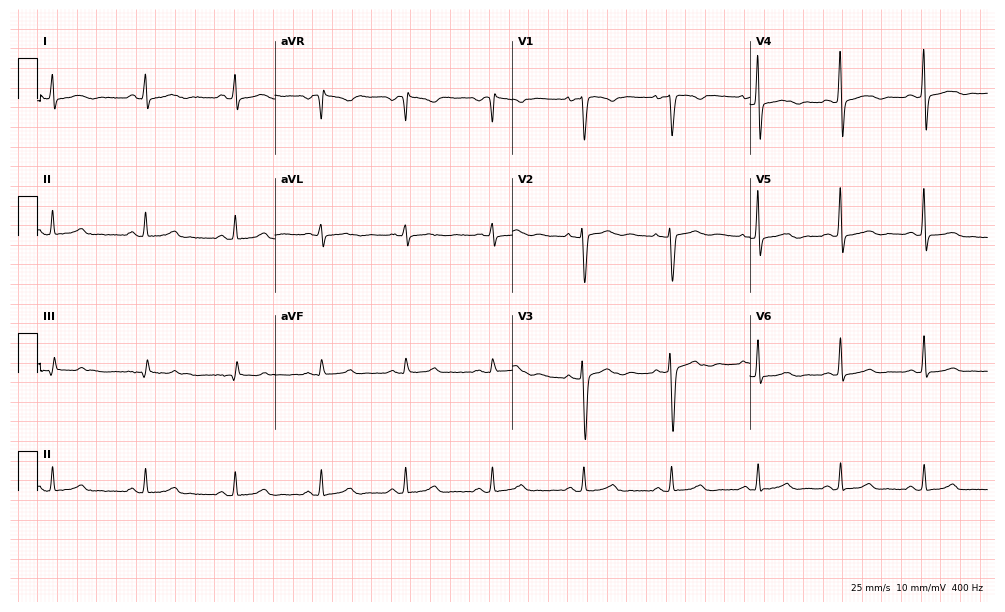
12-lead ECG from a female, 28 years old (9.7-second recording at 400 Hz). Recorded interpretation: within normal limits.